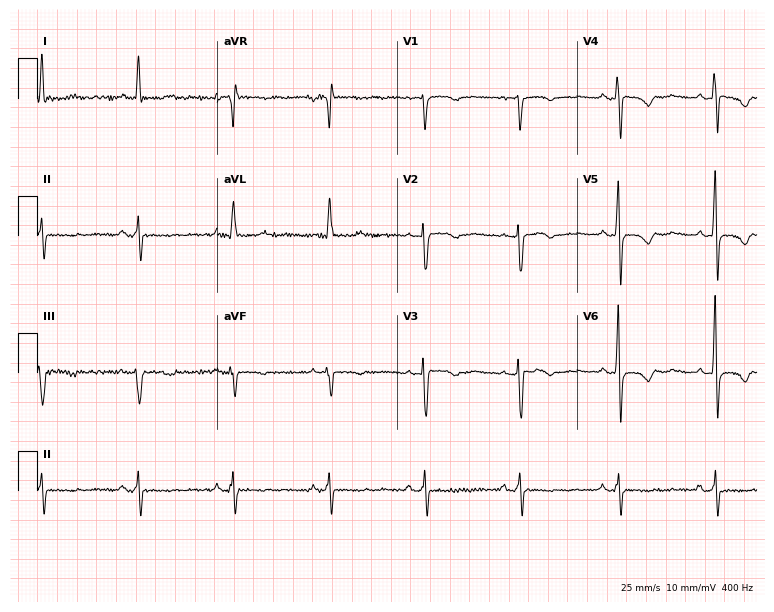
ECG (7.3-second recording at 400 Hz) — a 60-year-old woman. Screened for six findings — first-degree AV block, right bundle branch block, left bundle branch block, sinus bradycardia, atrial fibrillation, sinus tachycardia — none is recorded.